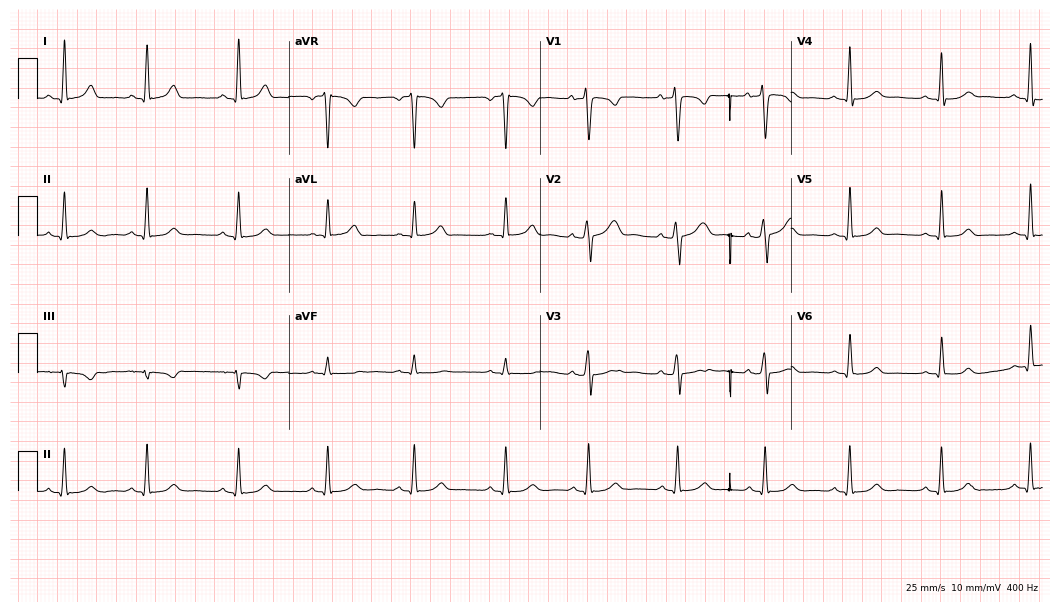
Resting 12-lead electrocardiogram (10.2-second recording at 400 Hz). Patient: a 23-year-old female. Read as a normal ECG.